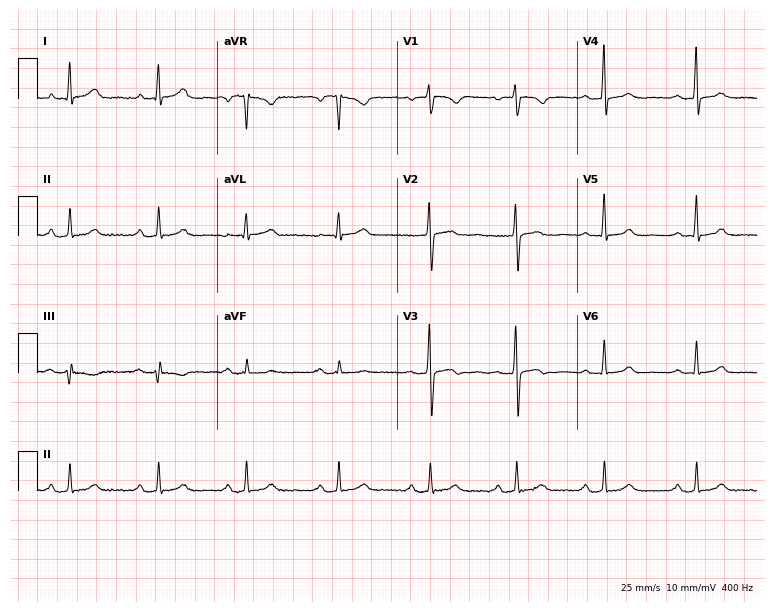
Electrocardiogram (7.3-second recording at 400 Hz), a 58-year-old woman. Overall reading on record: normal ECG.